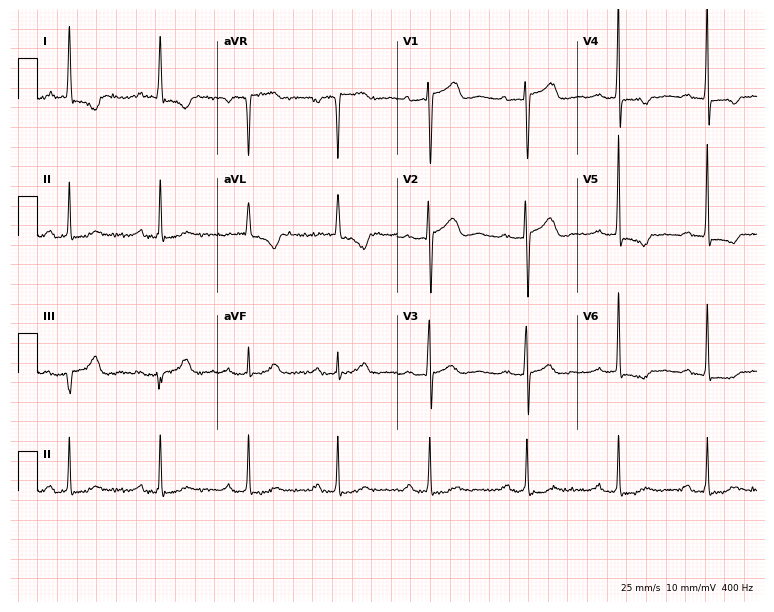
12-lead ECG (7.3-second recording at 400 Hz) from a 78-year-old woman. Findings include first-degree AV block.